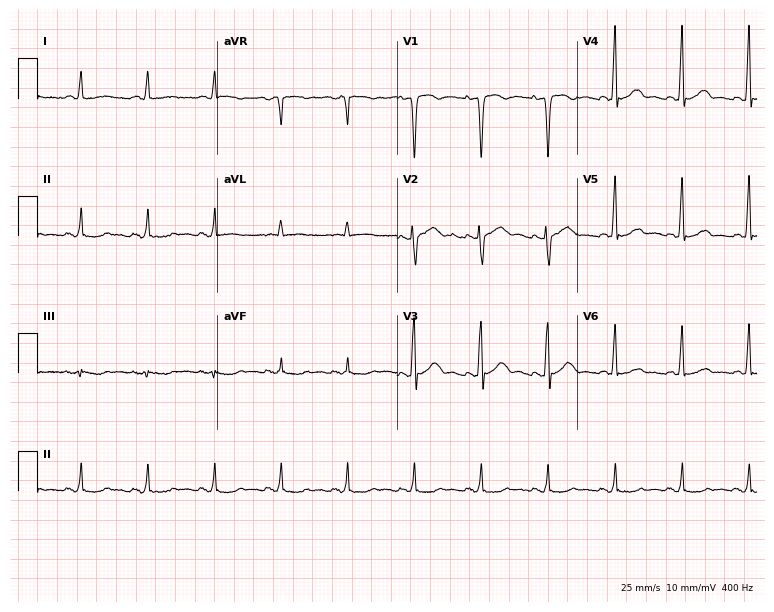
Resting 12-lead electrocardiogram (7.3-second recording at 400 Hz). Patient: a 64-year-old female. None of these six findings is recorded: first-degree AV block, right bundle branch block, left bundle branch block, sinus bradycardia, atrial fibrillation, sinus tachycardia.